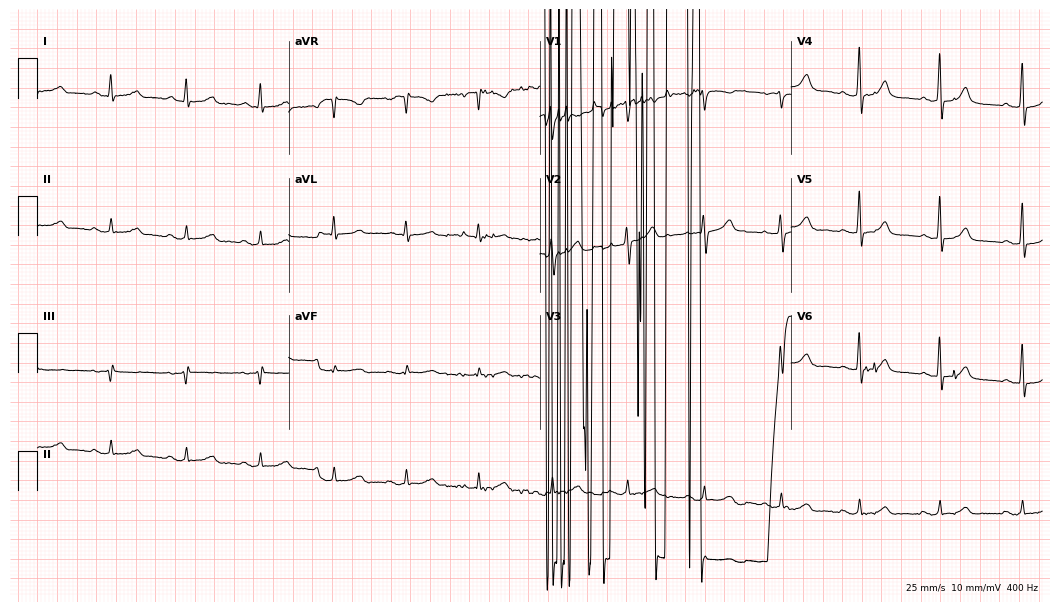
Resting 12-lead electrocardiogram (10.2-second recording at 400 Hz). Patient: a female, 51 years old. None of these six findings is recorded: first-degree AV block, right bundle branch block (RBBB), left bundle branch block (LBBB), sinus bradycardia, atrial fibrillation (AF), sinus tachycardia.